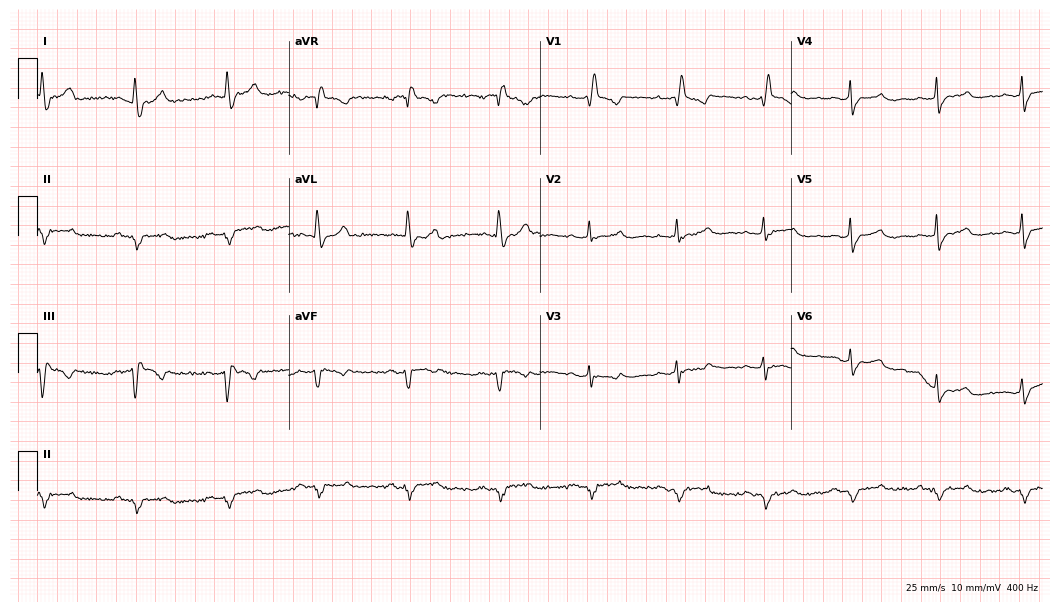
12-lead ECG from a woman, 68 years old. Findings include right bundle branch block (RBBB).